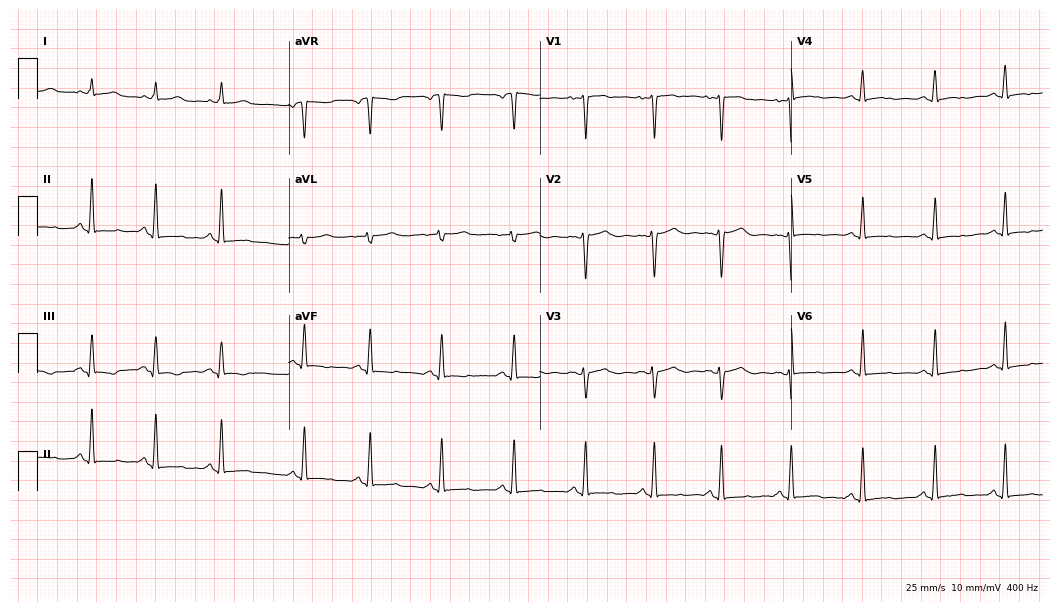
Standard 12-lead ECG recorded from a woman, 35 years old (10.2-second recording at 400 Hz). None of these six findings is recorded: first-degree AV block, right bundle branch block, left bundle branch block, sinus bradycardia, atrial fibrillation, sinus tachycardia.